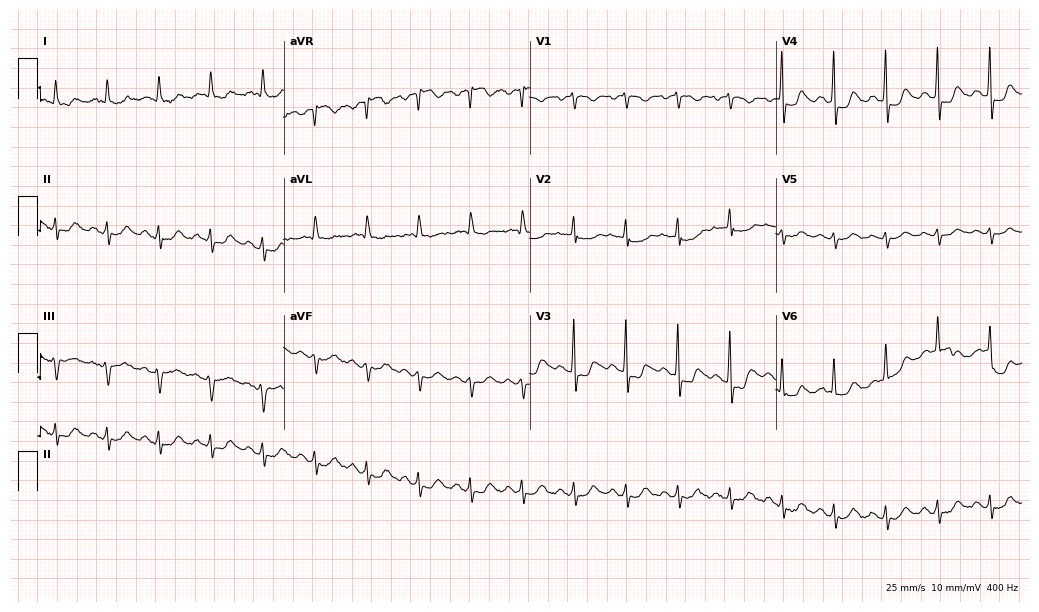
Electrocardiogram (10-second recording at 400 Hz), a female, 84 years old. Of the six screened findings (first-degree AV block, right bundle branch block, left bundle branch block, sinus bradycardia, atrial fibrillation, sinus tachycardia), none is recorded. Only these six findings were labelled.